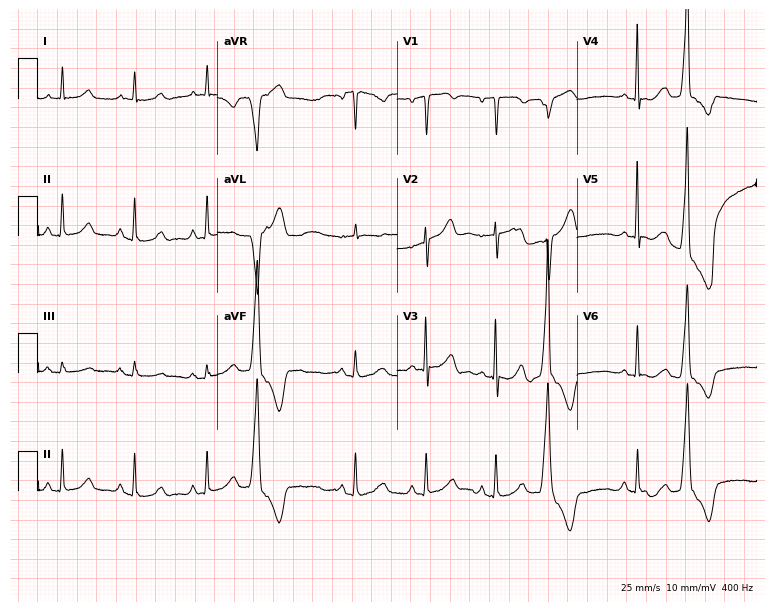
ECG (7.3-second recording at 400 Hz) — a 57-year-old female patient. Screened for six findings — first-degree AV block, right bundle branch block, left bundle branch block, sinus bradycardia, atrial fibrillation, sinus tachycardia — none is recorded.